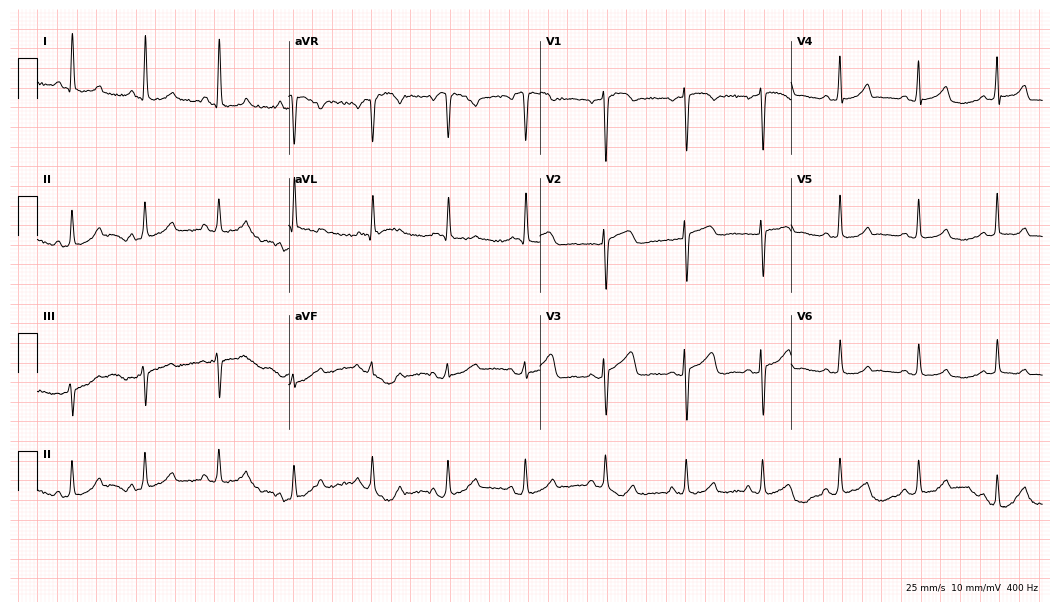
12-lead ECG from a female, 55 years old. Screened for six findings — first-degree AV block, right bundle branch block, left bundle branch block, sinus bradycardia, atrial fibrillation, sinus tachycardia — none is recorded. Findings outside these six are not listed.